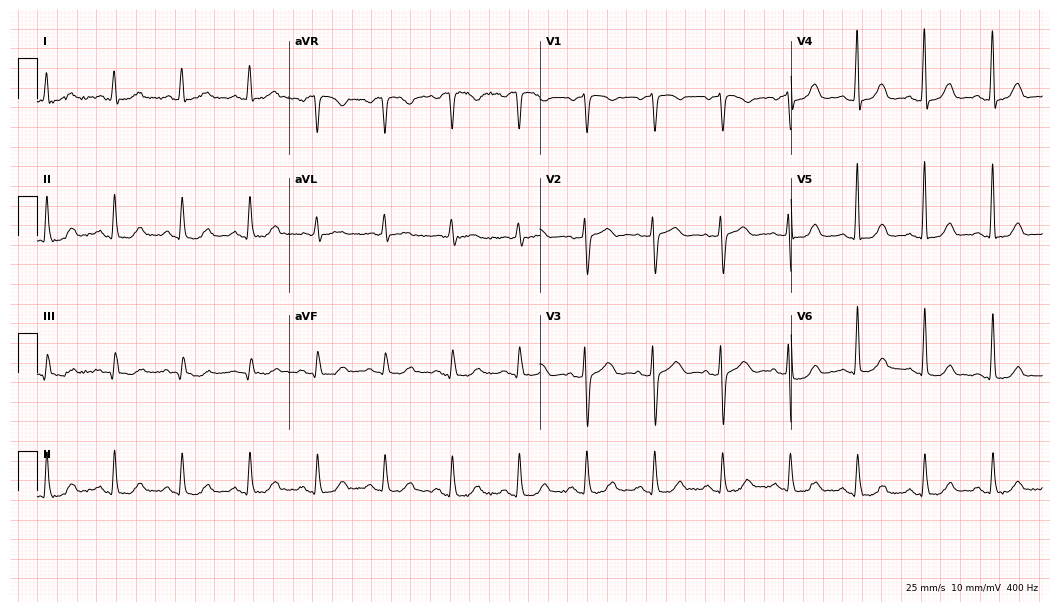
12-lead ECG (10.2-second recording at 400 Hz) from a 55-year-old woman. Labelled as a normal ECG.